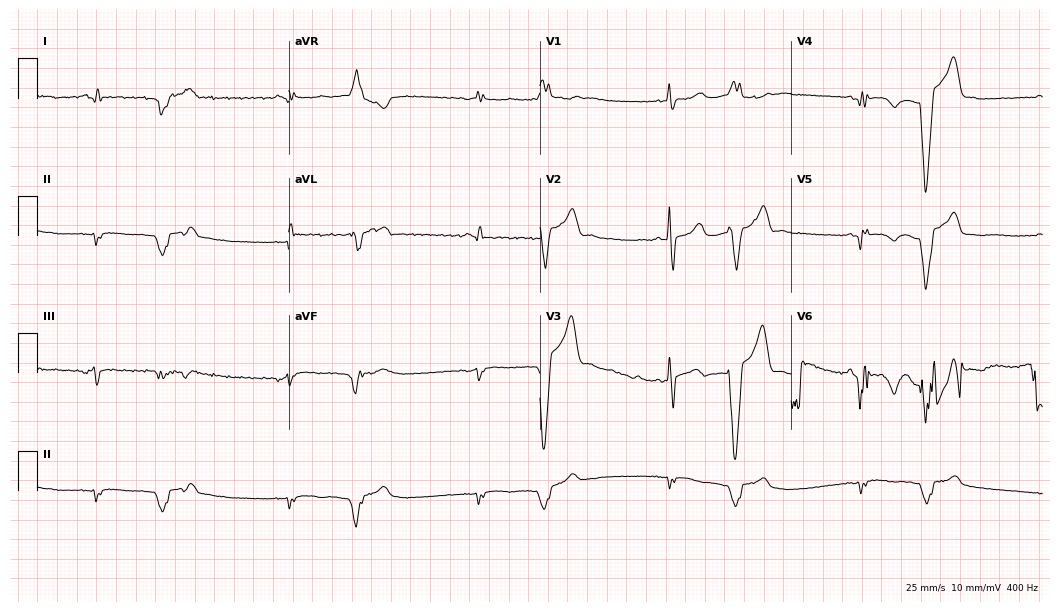
12-lead ECG from a 74-year-old male. No first-degree AV block, right bundle branch block (RBBB), left bundle branch block (LBBB), sinus bradycardia, atrial fibrillation (AF) or sinus tachycardia recorded for this tracing.